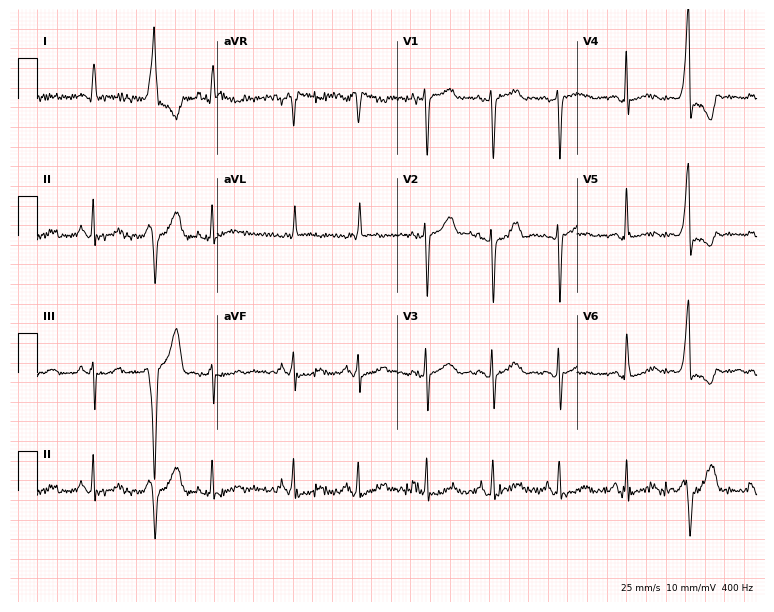
Resting 12-lead electrocardiogram. Patient: a 58-year-old woman. None of these six findings is recorded: first-degree AV block, right bundle branch block (RBBB), left bundle branch block (LBBB), sinus bradycardia, atrial fibrillation (AF), sinus tachycardia.